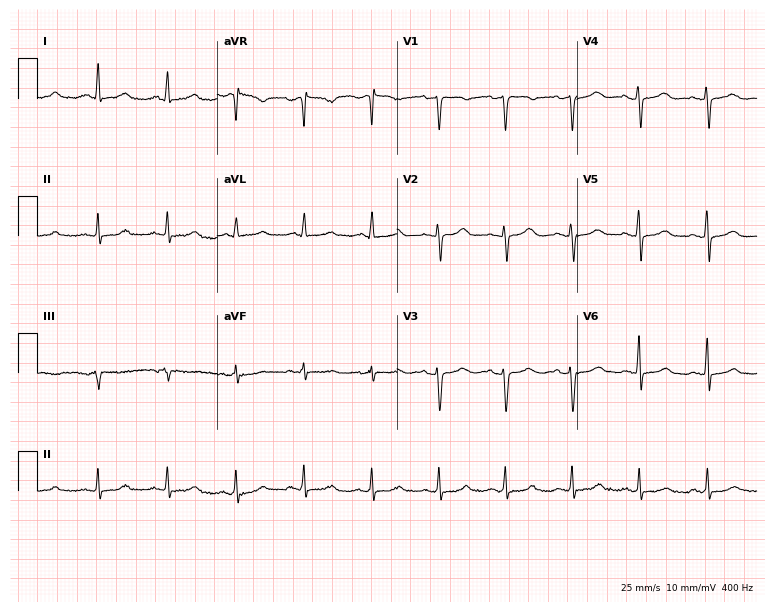
12-lead ECG from a 45-year-old female patient. No first-degree AV block, right bundle branch block, left bundle branch block, sinus bradycardia, atrial fibrillation or sinus tachycardia recorded for this tracing.